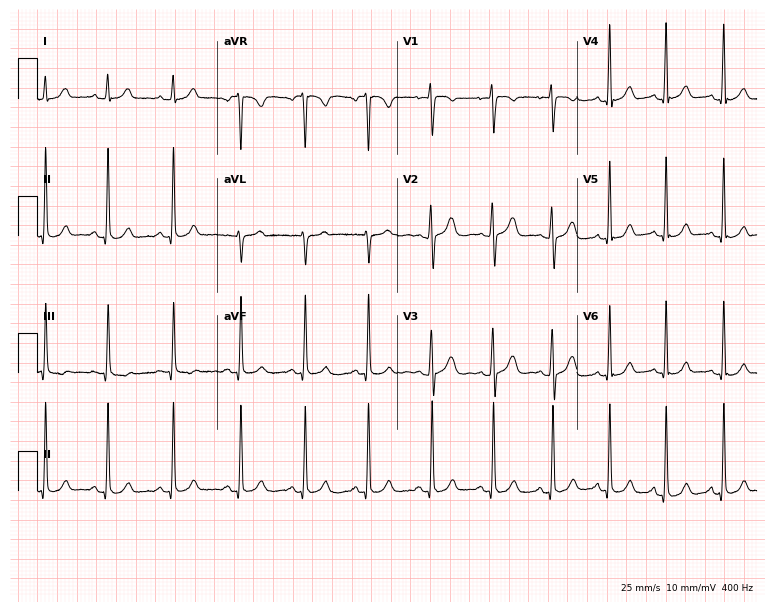
12-lead ECG from a female, 19 years old. No first-degree AV block, right bundle branch block, left bundle branch block, sinus bradycardia, atrial fibrillation or sinus tachycardia recorded for this tracing.